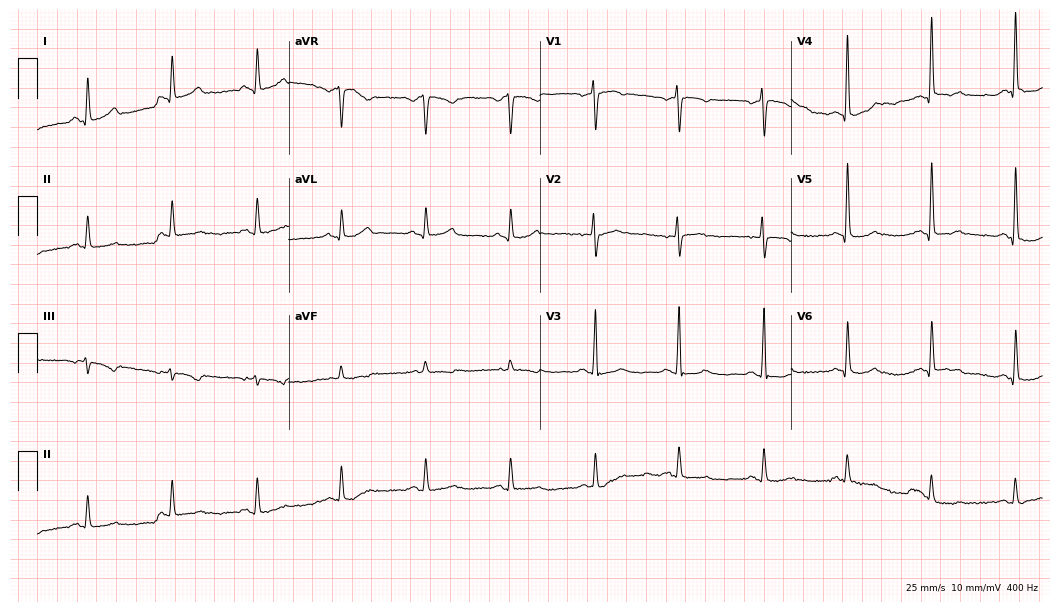
ECG (10.2-second recording at 400 Hz) — a female, 61 years old. Screened for six findings — first-degree AV block, right bundle branch block, left bundle branch block, sinus bradycardia, atrial fibrillation, sinus tachycardia — none is recorded. Findings outside these six are not listed.